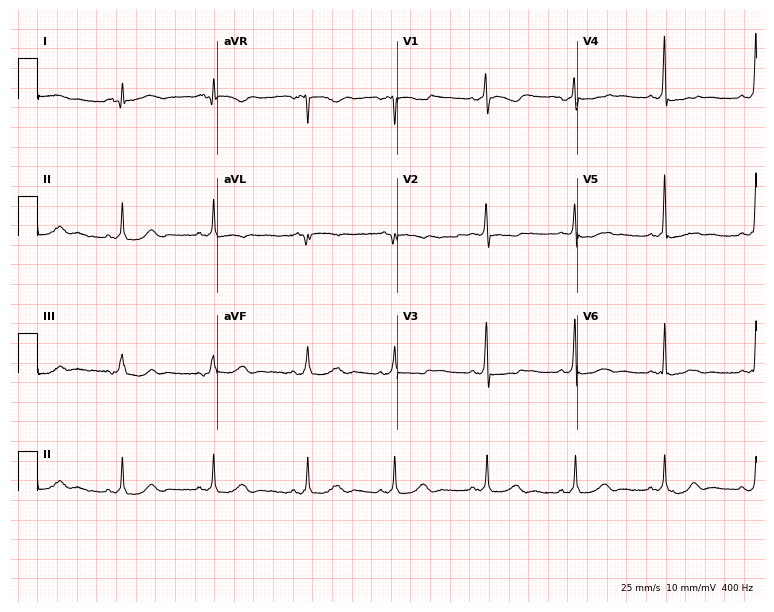
Standard 12-lead ECG recorded from a 70-year-old female (7.3-second recording at 400 Hz). None of these six findings is recorded: first-degree AV block, right bundle branch block, left bundle branch block, sinus bradycardia, atrial fibrillation, sinus tachycardia.